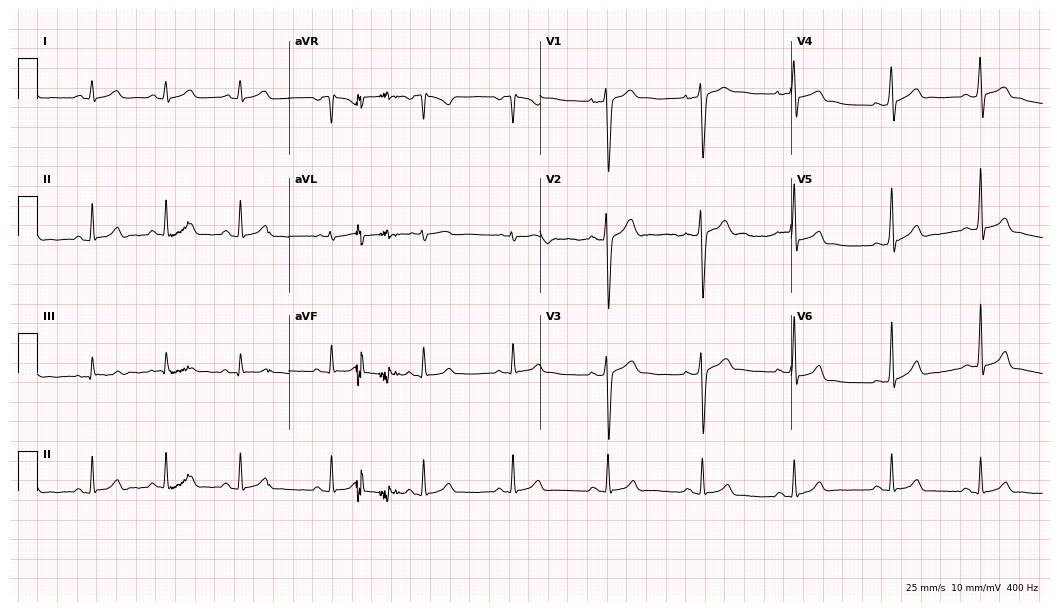
ECG (10.2-second recording at 400 Hz) — a man, 17 years old. Labelled as a normal ECG.